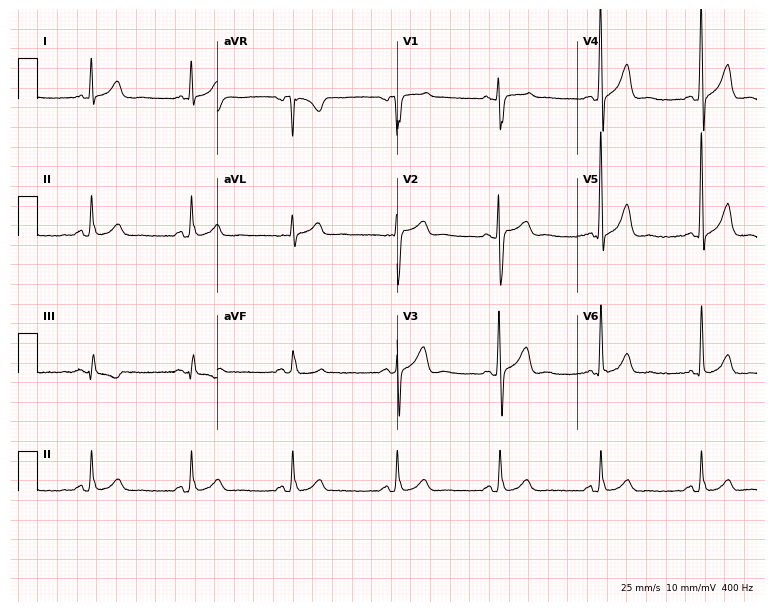
12-lead ECG from a male, 48 years old (7.3-second recording at 400 Hz). No first-degree AV block, right bundle branch block, left bundle branch block, sinus bradycardia, atrial fibrillation or sinus tachycardia recorded for this tracing.